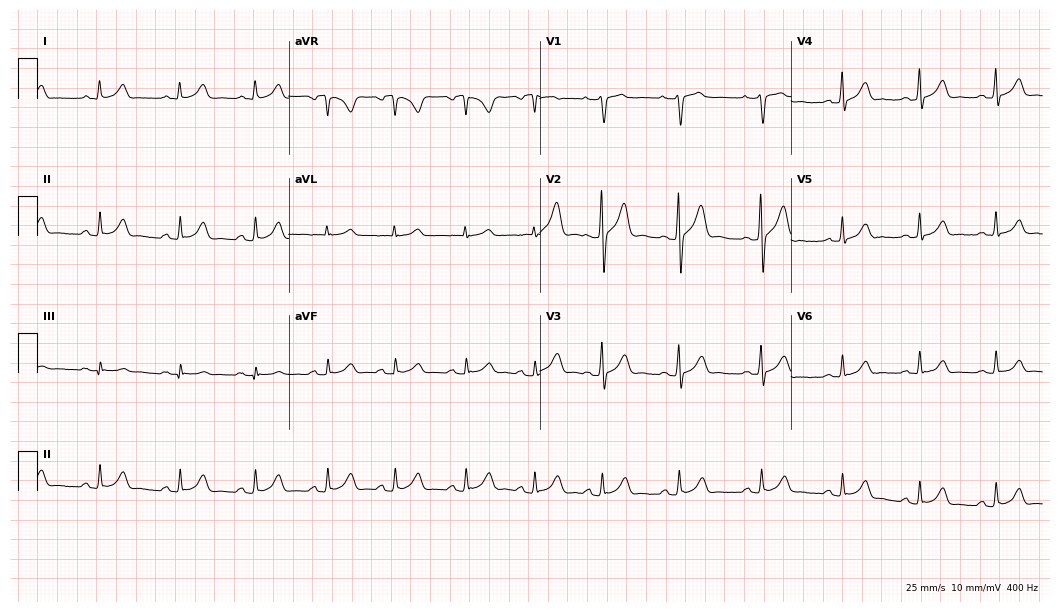
Electrocardiogram, a 23-year-old man. Of the six screened findings (first-degree AV block, right bundle branch block, left bundle branch block, sinus bradycardia, atrial fibrillation, sinus tachycardia), none is recorded. Other findings, if any, are not listed.